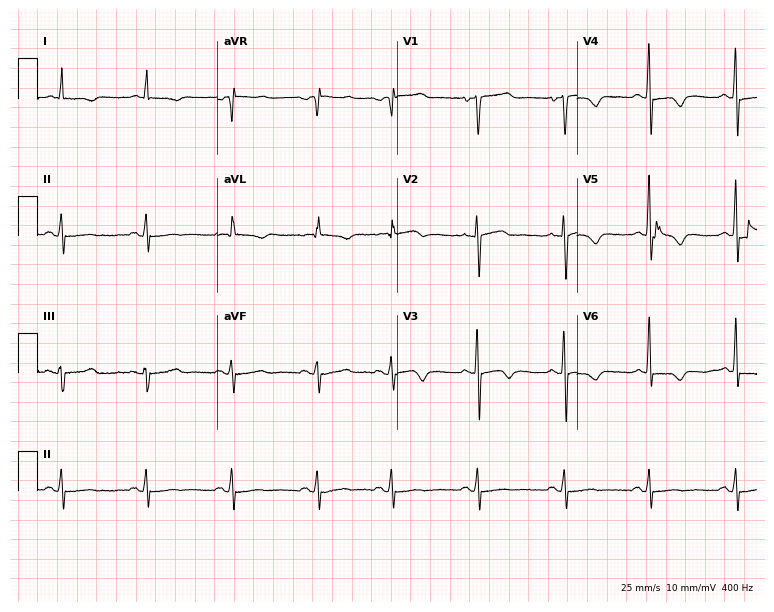
Electrocardiogram, a 65-year-old female. Of the six screened findings (first-degree AV block, right bundle branch block, left bundle branch block, sinus bradycardia, atrial fibrillation, sinus tachycardia), none is recorded.